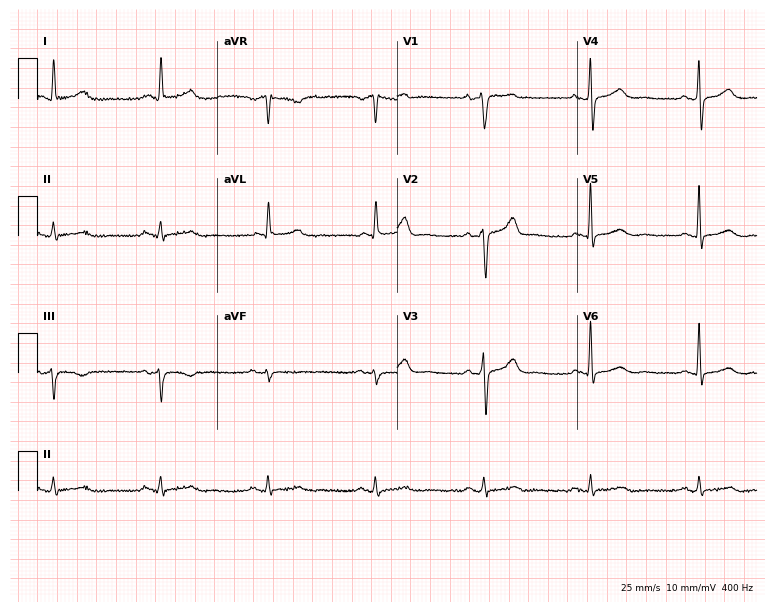
Electrocardiogram (7.3-second recording at 400 Hz), a 77-year-old male patient. Overall reading on record: normal ECG.